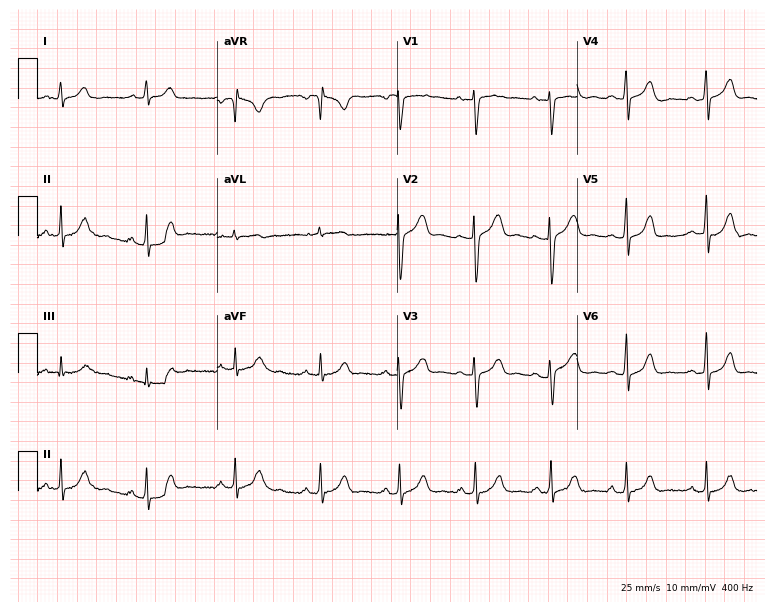
12-lead ECG from a 29-year-old female (7.3-second recording at 400 Hz). No first-degree AV block, right bundle branch block (RBBB), left bundle branch block (LBBB), sinus bradycardia, atrial fibrillation (AF) or sinus tachycardia recorded for this tracing.